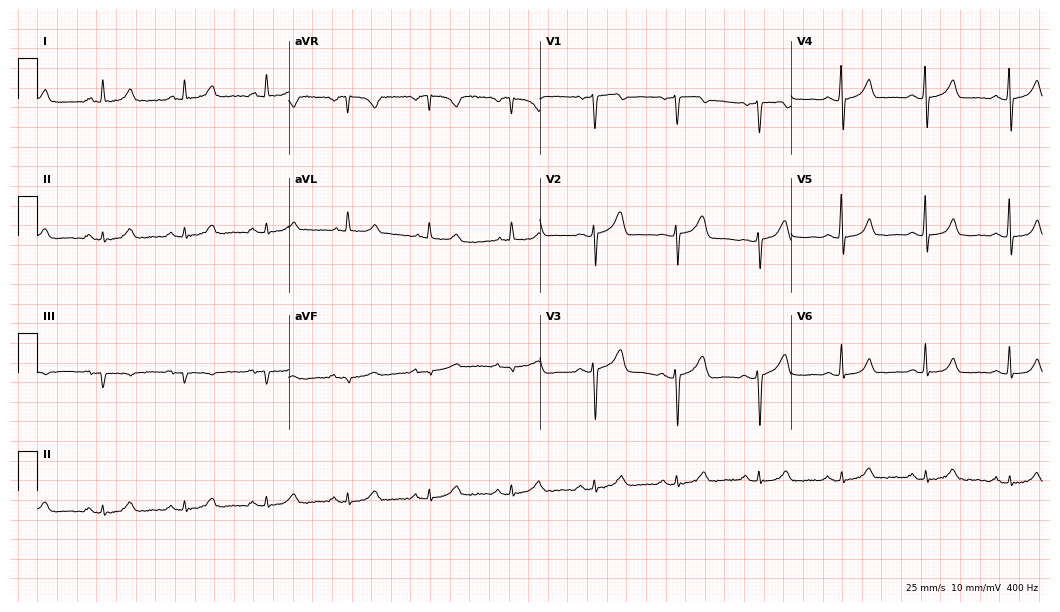
Electrocardiogram (10.2-second recording at 400 Hz), a 74-year-old woman. Overall reading on record: normal ECG.